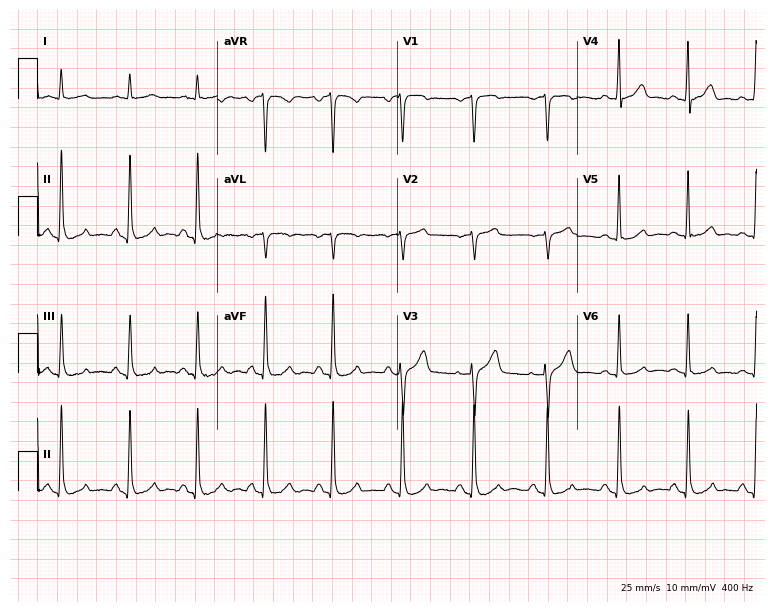
12-lead ECG from a 67-year-old man. Recorded interpretation: within normal limits.